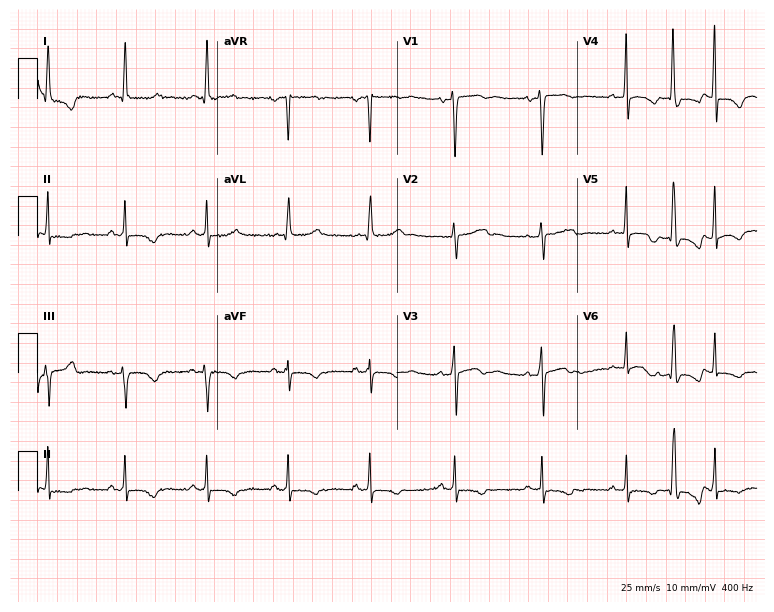
12-lead ECG from a 36-year-old female patient (7.3-second recording at 400 Hz). No first-degree AV block, right bundle branch block (RBBB), left bundle branch block (LBBB), sinus bradycardia, atrial fibrillation (AF) or sinus tachycardia recorded for this tracing. Findings outside these six are not listed.